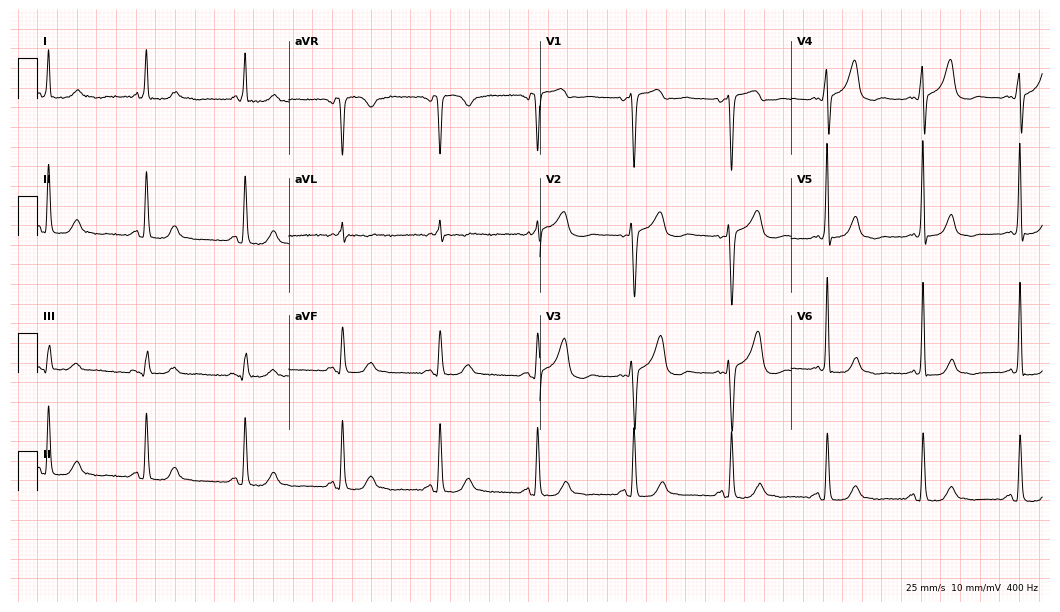
Resting 12-lead electrocardiogram. Patient: an 80-year-old male. Read as a normal ECG.